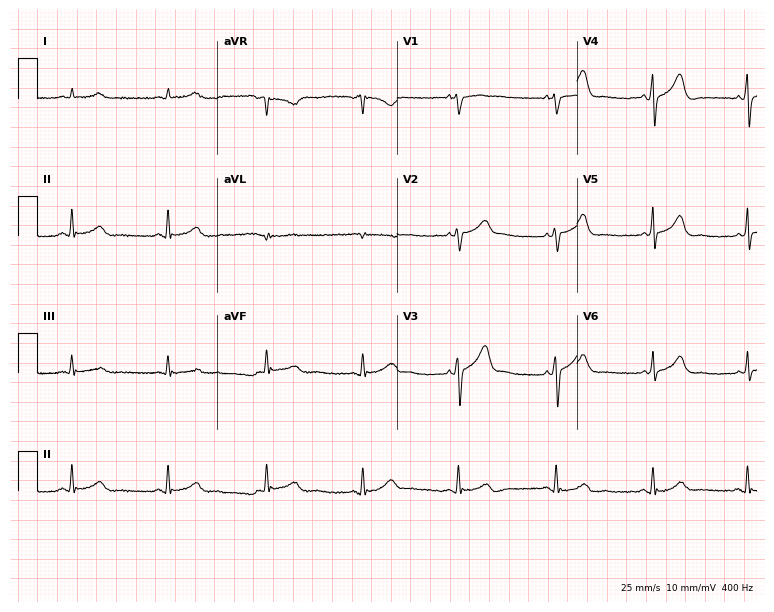
Electrocardiogram, a 72-year-old man. Overall reading on record: normal ECG.